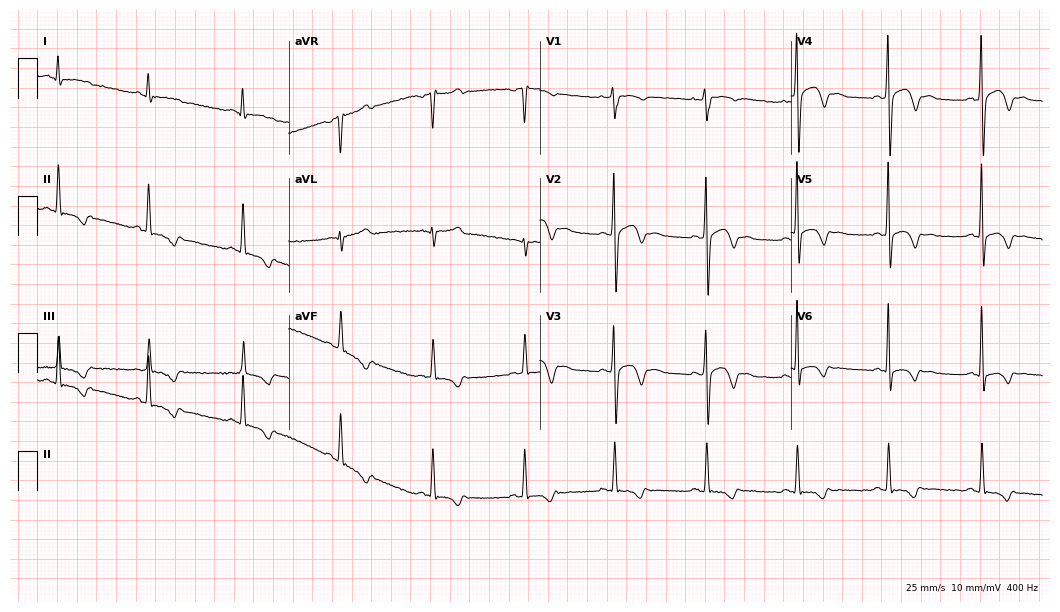
12-lead ECG from a 30-year-old male. Screened for six findings — first-degree AV block, right bundle branch block, left bundle branch block, sinus bradycardia, atrial fibrillation, sinus tachycardia — none is recorded. Findings outside these six are not listed.